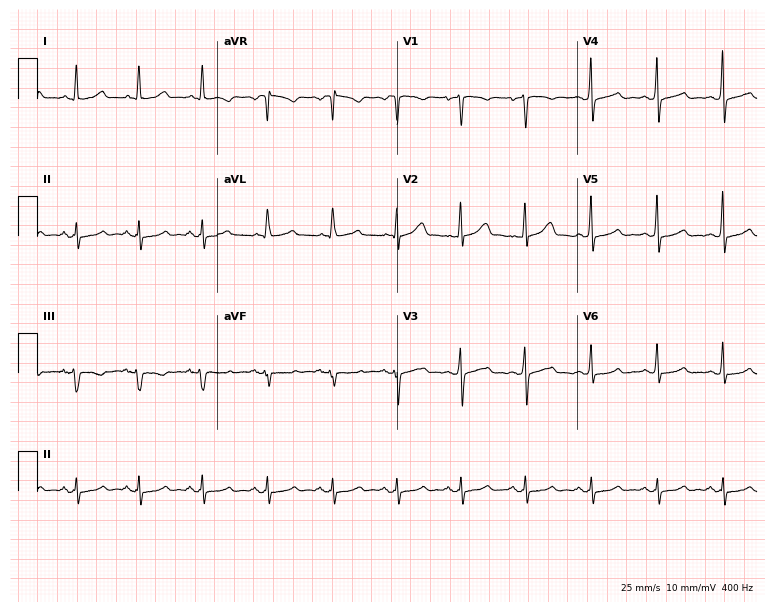
12-lead ECG from a 36-year-old woman (7.3-second recording at 400 Hz). No first-degree AV block, right bundle branch block, left bundle branch block, sinus bradycardia, atrial fibrillation or sinus tachycardia recorded for this tracing. Findings outside these six are not listed.